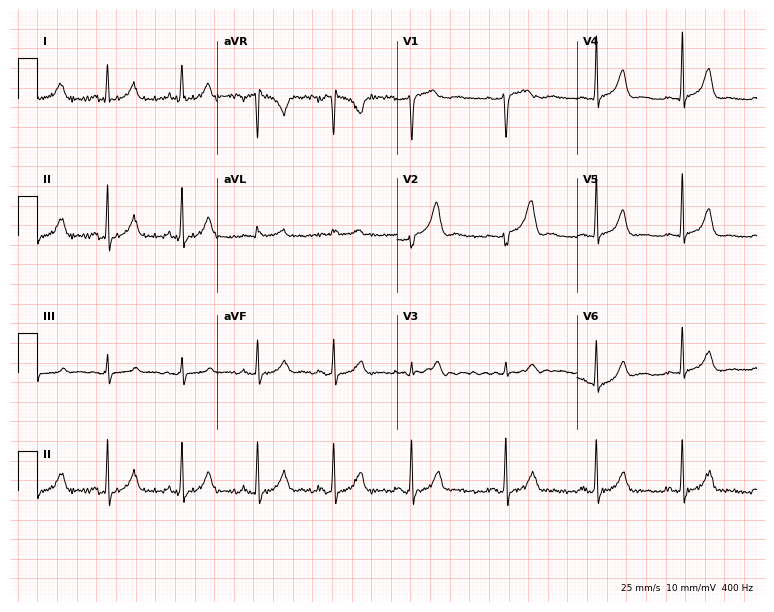
Electrocardiogram, a woman, 20 years old. Overall reading on record: normal ECG.